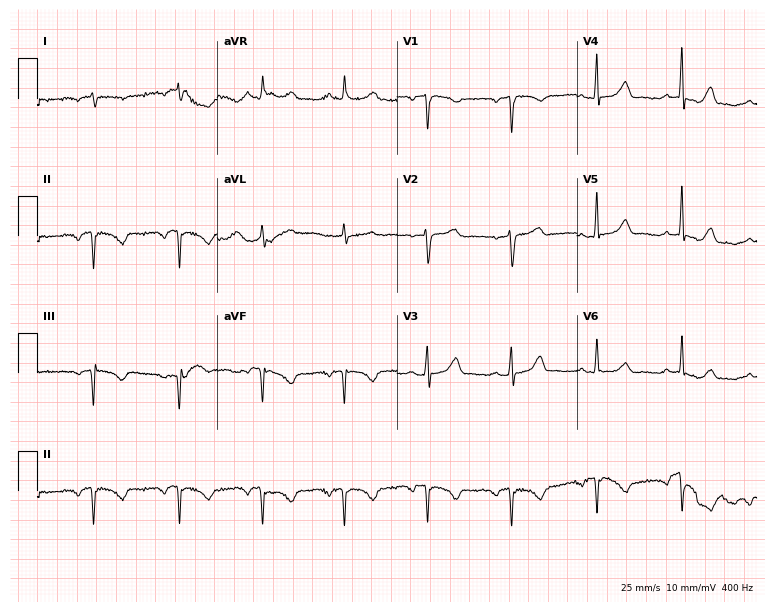
12-lead ECG from a 53-year-old female patient (7.3-second recording at 400 Hz). No first-degree AV block, right bundle branch block, left bundle branch block, sinus bradycardia, atrial fibrillation or sinus tachycardia recorded for this tracing. Only these six findings were labelled.